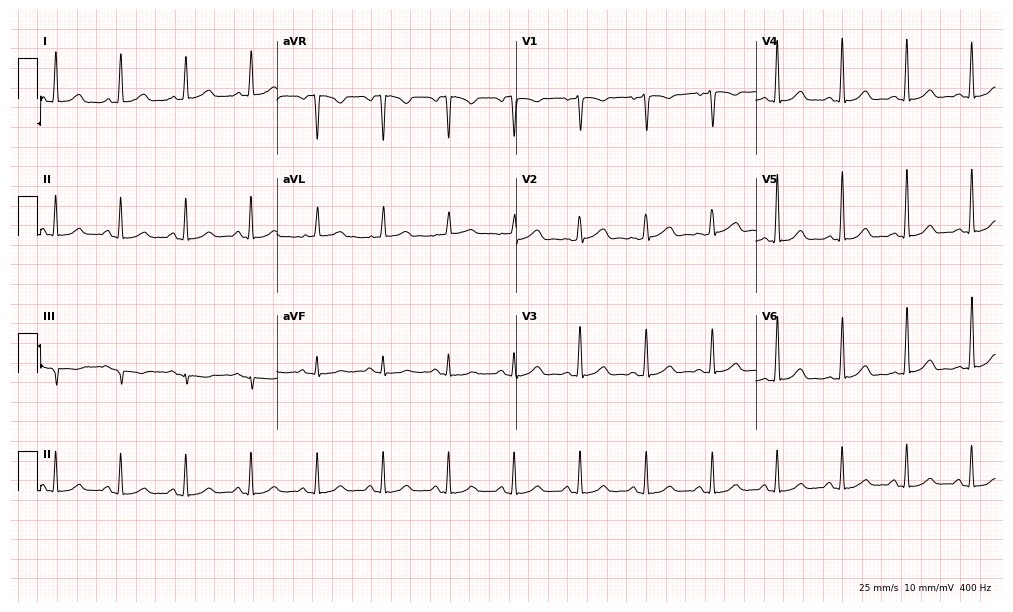
ECG — a woman, 47 years old. Labelled as a normal ECG.